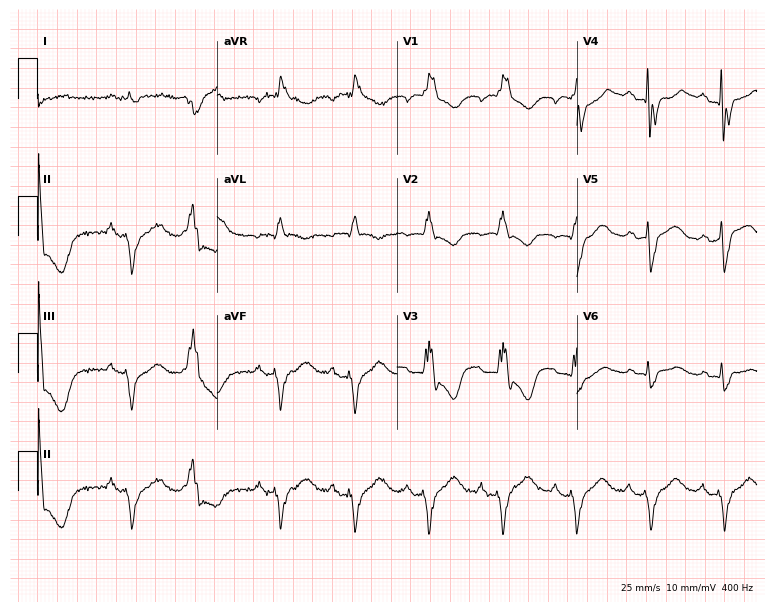
12-lead ECG (7.3-second recording at 400 Hz) from an 82-year-old female patient. Findings include right bundle branch block.